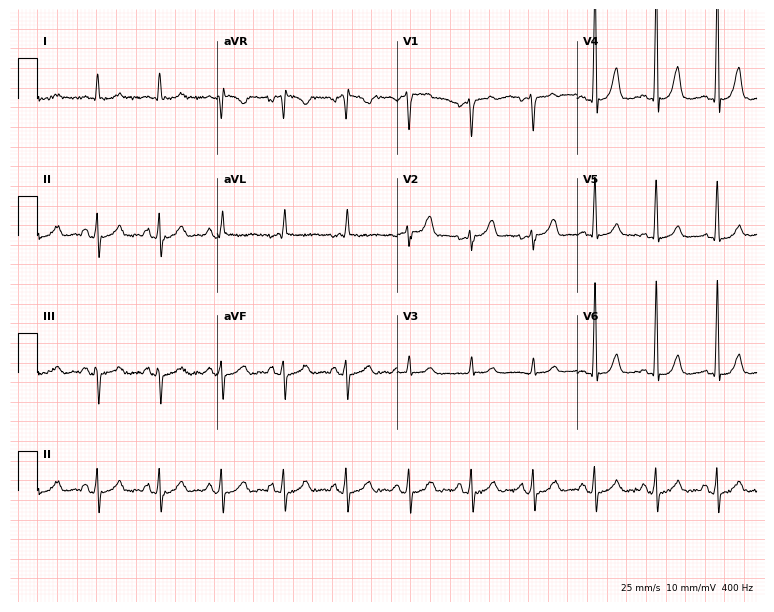
Electrocardiogram (7.3-second recording at 400 Hz), a 68-year-old man. Overall reading on record: normal ECG.